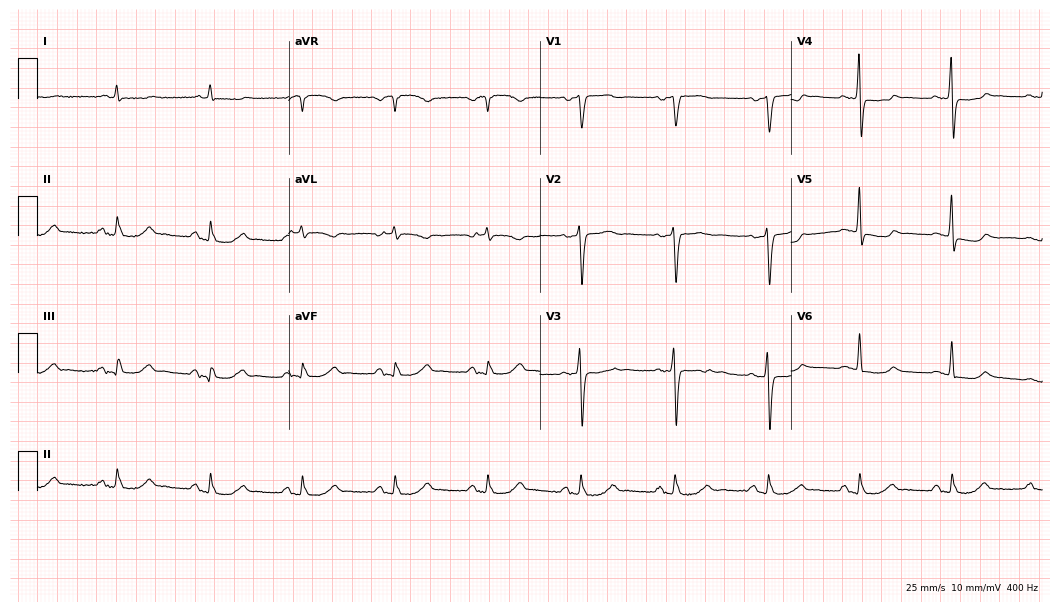
12-lead ECG from a male, 80 years old. Screened for six findings — first-degree AV block, right bundle branch block (RBBB), left bundle branch block (LBBB), sinus bradycardia, atrial fibrillation (AF), sinus tachycardia — none is recorded.